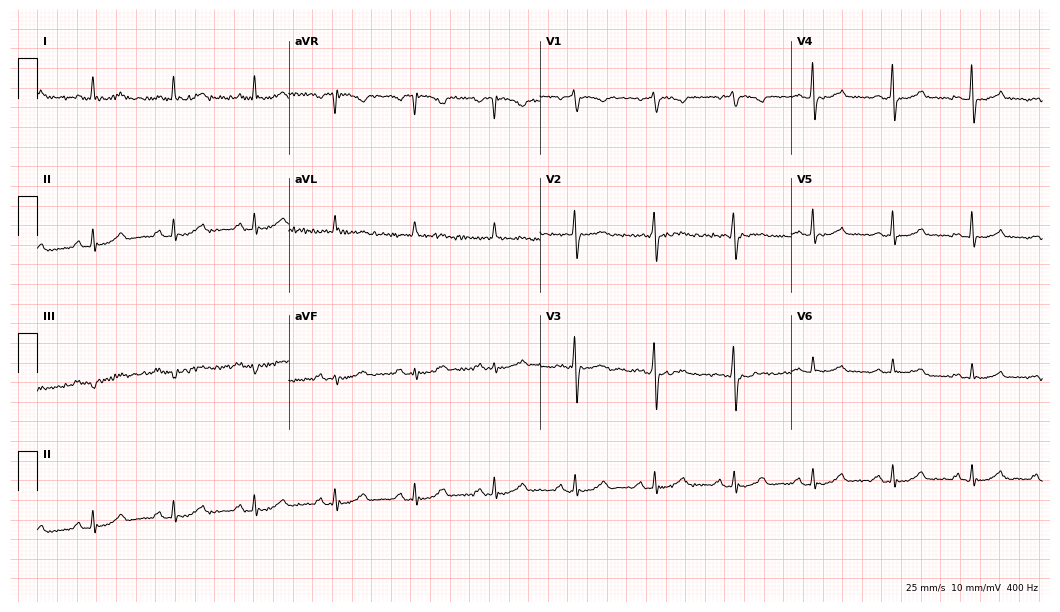
12-lead ECG (10.2-second recording at 400 Hz) from a 60-year-old female. Screened for six findings — first-degree AV block, right bundle branch block, left bundle branch block, sinus bradycardia, atrial fibrillation, sinus tachycardia — none is recorded. Only these six findings were labelled.